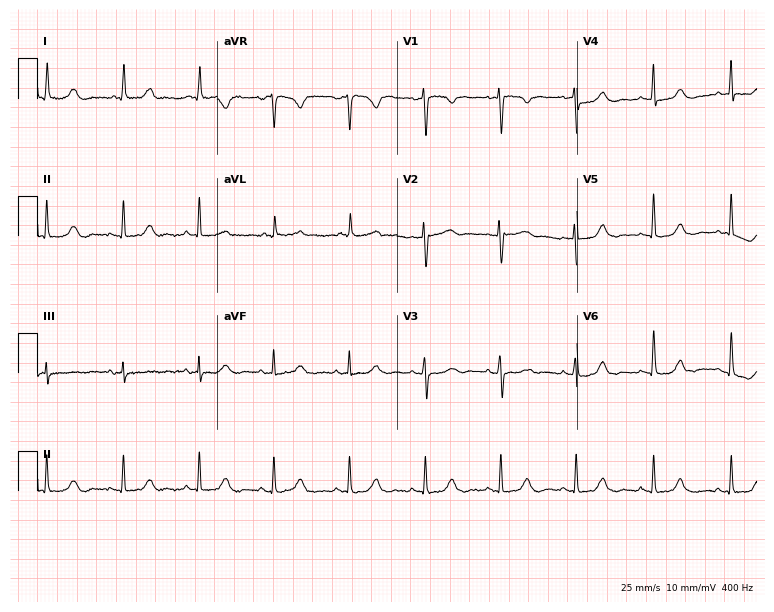
Resting 12-lead electrocardiogram (7.3-second recording at 400 Hz). Patient: a 64-year-old woman. Read as a normal ECG.